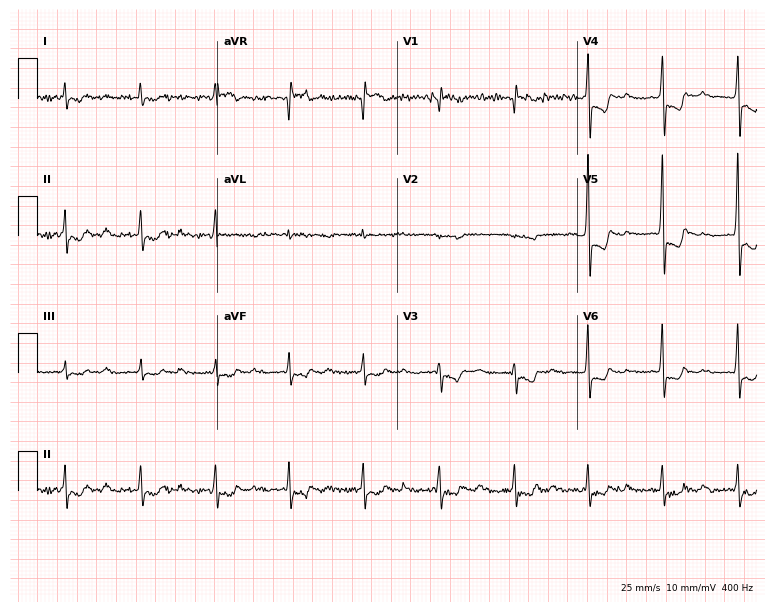
Electrocardiogram (7.3-second recording at 400 Hz), a male, 83 years old. Of the six screened findings (first-degree AV block, right bundle branch block, left bundle branch block, sinus bradycardia, atrial fibrillation, sinus tachycardia), none is recorded. Findings outside these six are not listed.